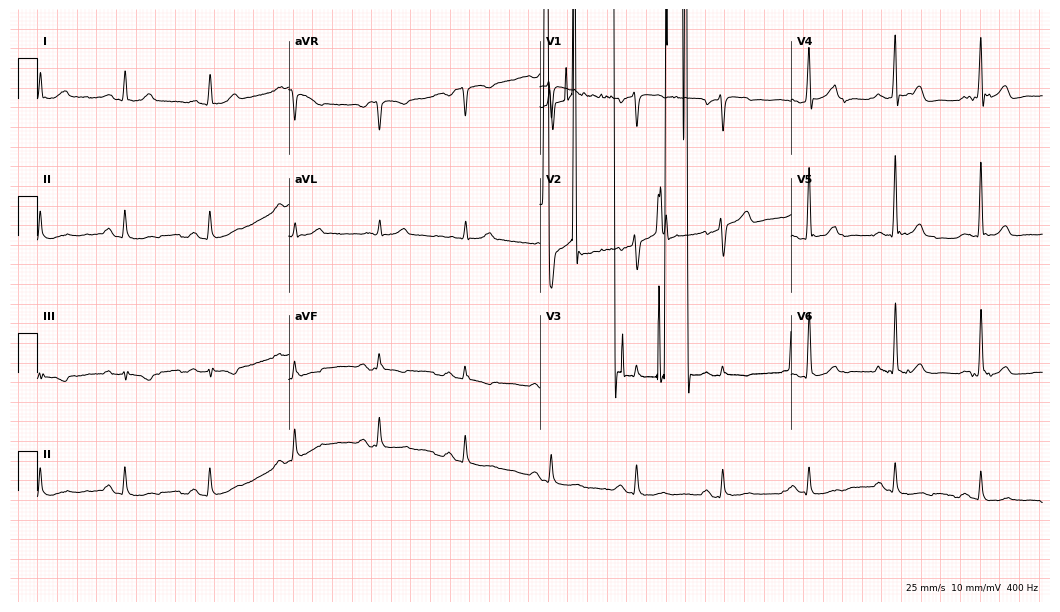
12-lead ECG from a 67-year-old male patient. No first-degree AV block, right bundle branch block (RBBB), left bundle branch block (LBBB), sinus bradycardia, atrial fibrillation (AF) or sinus tachycardia recorded for this tracing. Findings outside these six are not listed.